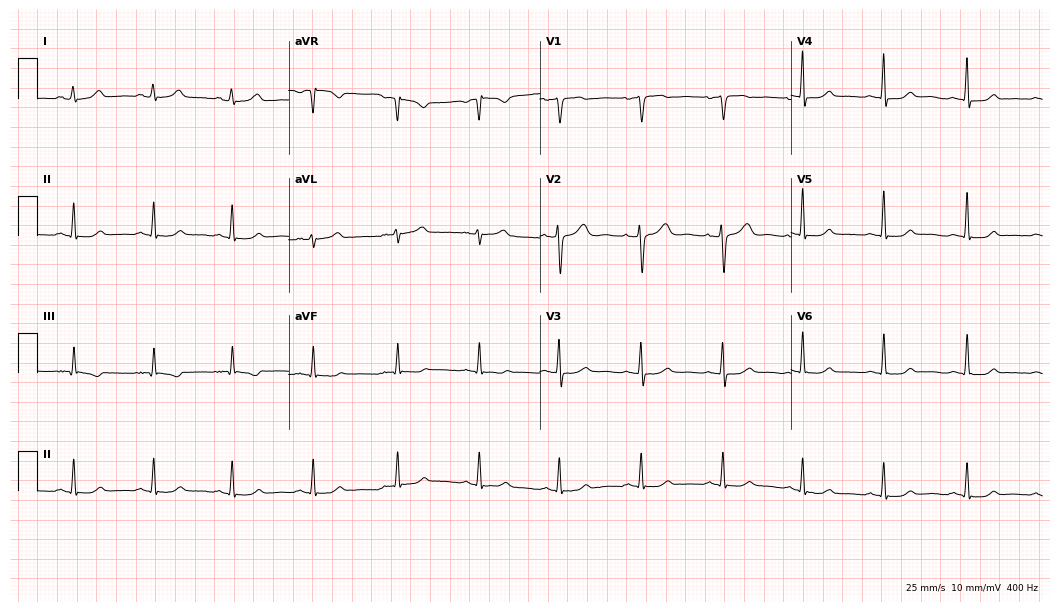
ECG (10.2-second recording at 400 Hz) — a woman, 49 years old. Labelled as a normal ECG.